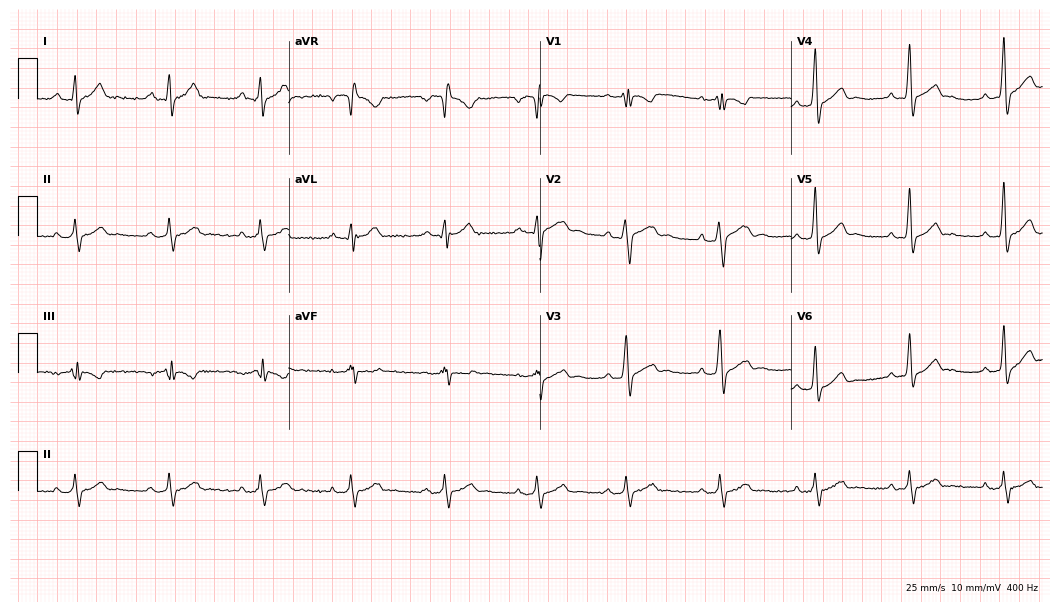
Electrocardiogram (10.2-second recording at 400 Hz), a male patient, 33 years old. Of the six screened findings (first-degree AV block, right bundle branch block (RBBB), left bundle branch block (LBBB), sinus bradycardia, atrial fibrillation (AF), sinus tachycardia), none is recorded.